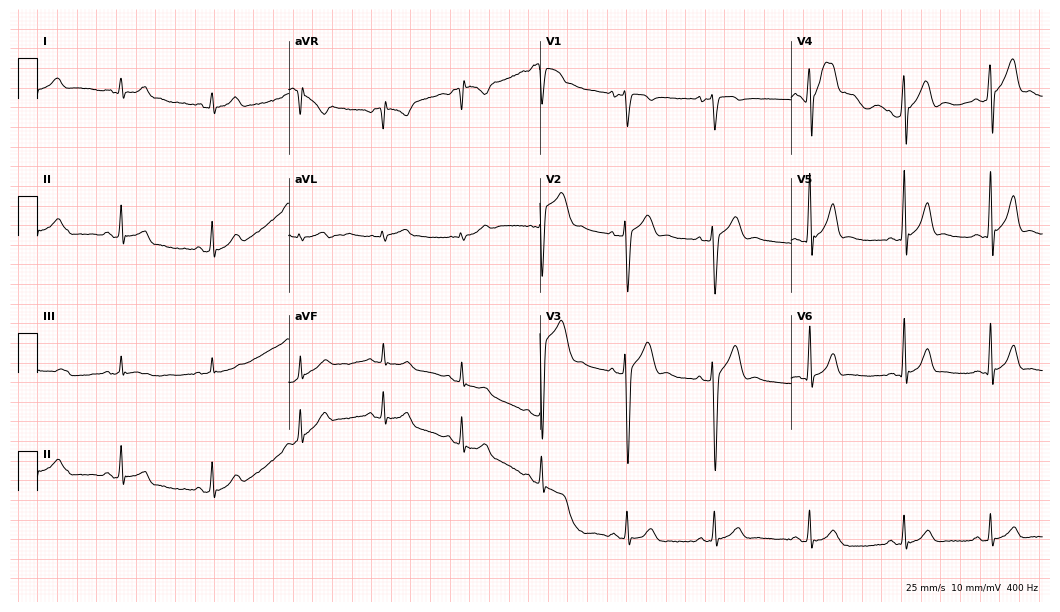
Resting 12-lead electrocardiogram. Patient: a 23-year-old male. Read as a normal ECG.